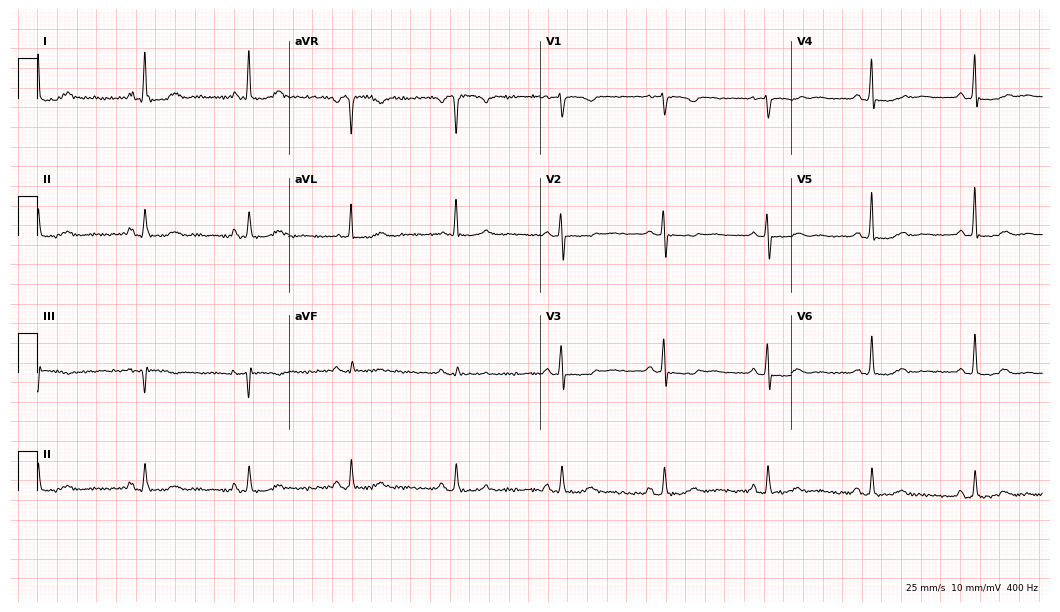
12-lead ECG from a female, 62 years old. No first-degree AV block, right bundle branch block, left bundle branch block, sinus bradycardia, atrial fibrillation or sinus tachycardia recorded for this tracing.